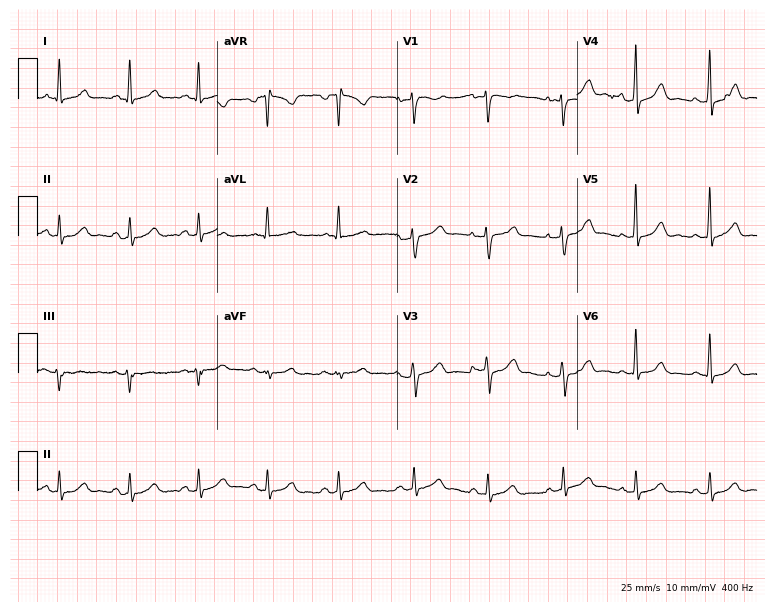
12-lead ECG (7.3-second recording at 400 Hz) from a 44-year-old woman. Labelled as a normal ECG.